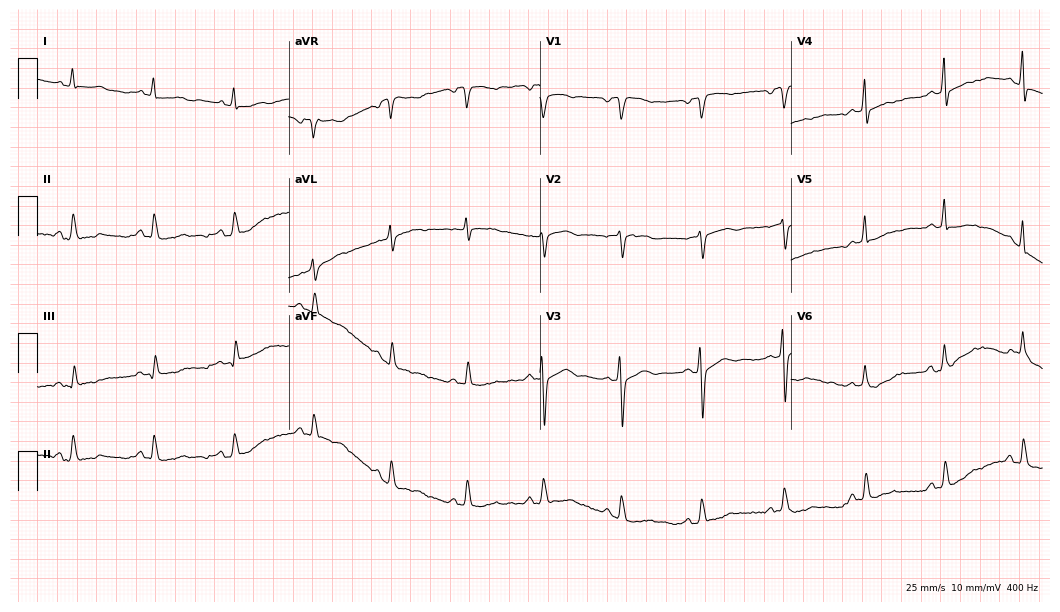
12-lead ECG from a female, 59 years old (10.2-second recording at 400 Hz). No first-degree AV block, right bundle branch block, left bundle branch block, sinus bradycardia, atrial fibrillation or sinus tachycardia recorded for this tracing. Findings outside these six are not listed.